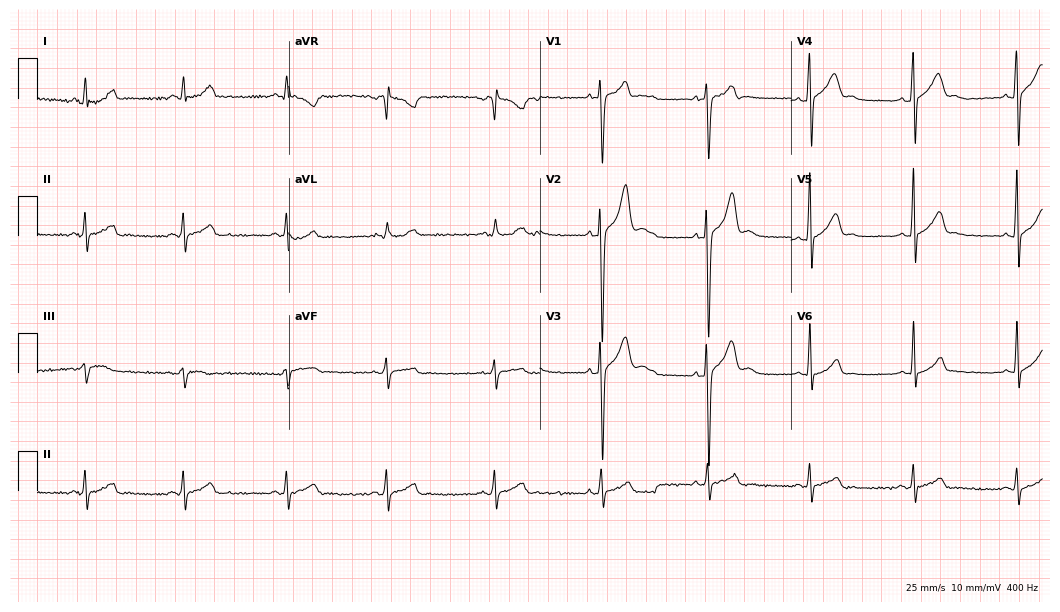
Resting 12-lead electrocardiogram (10.2-second recording at 400 Hz). Patient: an 18-year-old male. Read as a normal ECG.